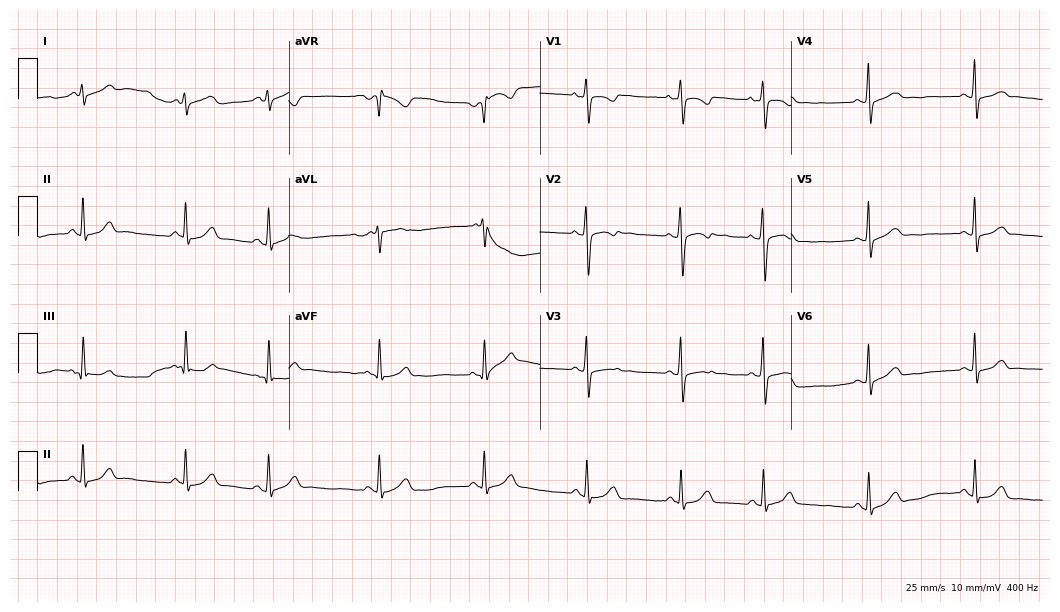
Standard 12-lead ECG recorded from a 21-year-old female. Read as a normal ECG.